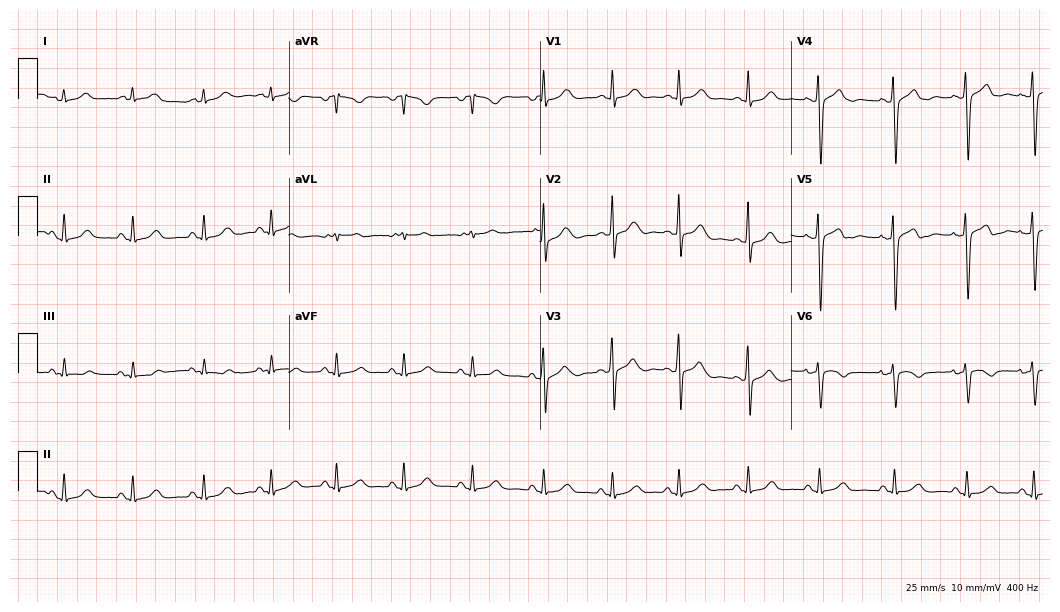
ECG (10.2-second recording at 400 Hz) — a woman, 42 years old. Screened for six findings — first-degree AV block, right bundle branch block (RBBB), left bundle branch block (LBBB), sinus bradycardia, atrial fibrillation (AF), sinus tachycardia — none is recorded.